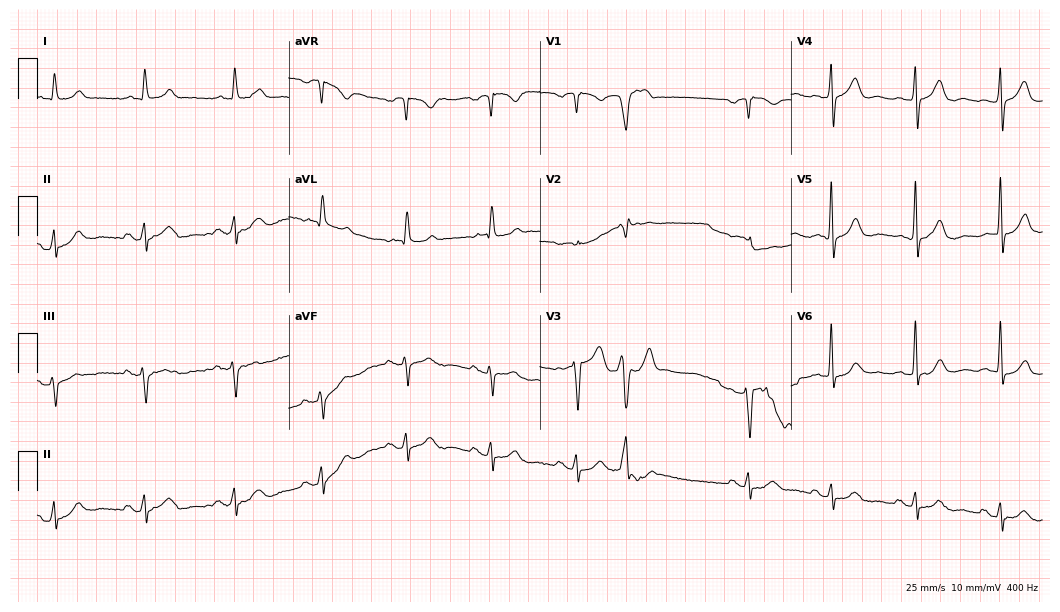
12-lead ECG from a male patient, 71 years old. No first-degree AV block, right bundle branch block, left bundle branch block, sinus bradycardia, atrial fibrillation or sinus tachycardia recorded for this tracing.